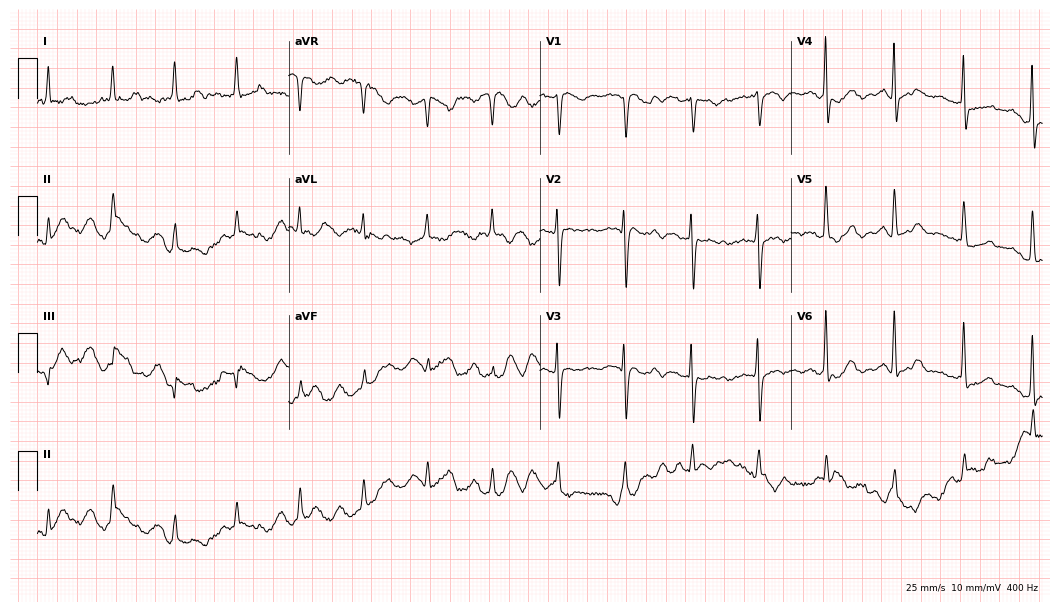
Resting 12-lead electrocardiogram (10.2-second recording at 400 Hz). Patient: a female, 76 years old. None of these six findings is recorded: first-degree AV block, right bundle branch block, left bundle branch block, sinus bradycardia, atrial fibrillation, sinus tachycardia. Other findings, if any, are not listed.